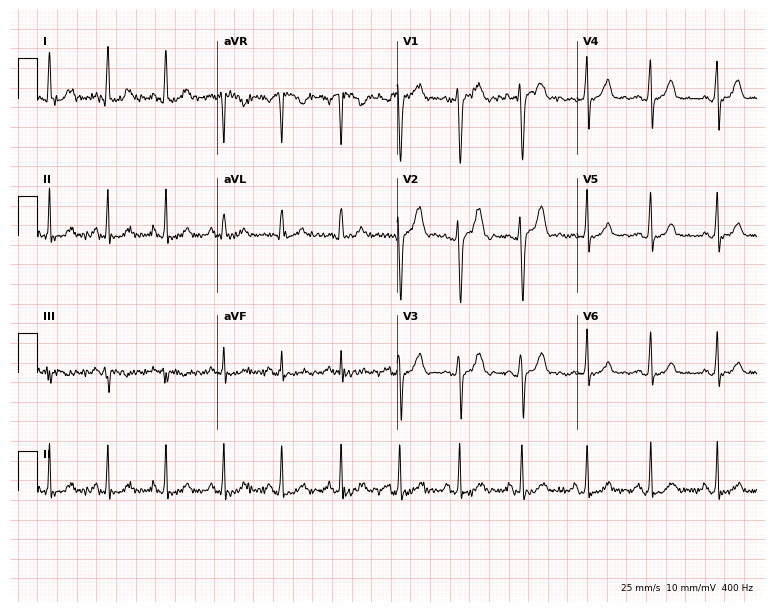
Resting 12-lead electrocardiogram. Patient: a 27-year-old female. Read as a normal ECG.